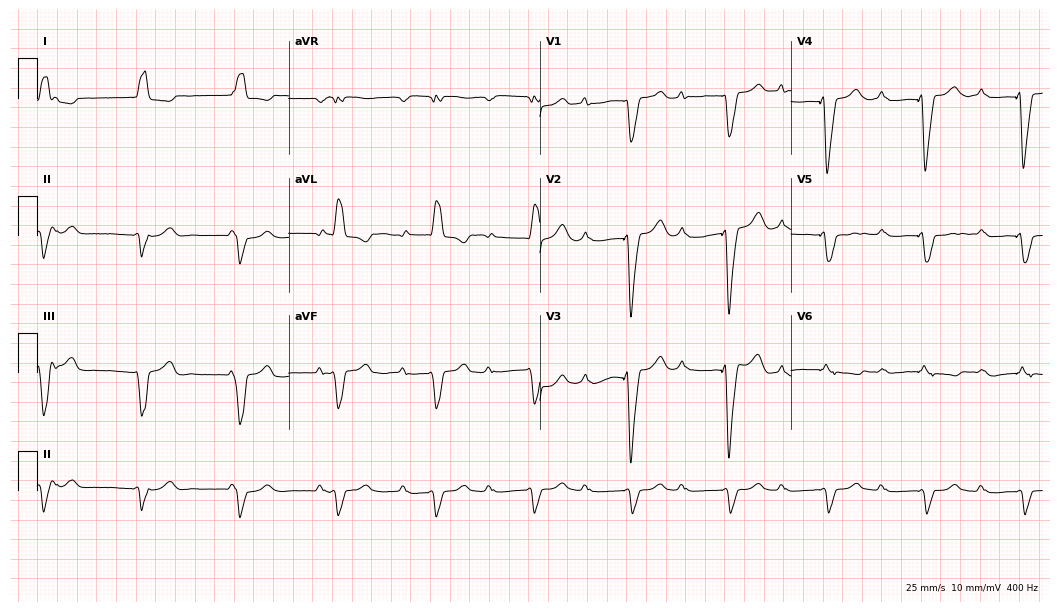
12-lead ECG (10.2-second recording at 400 Hz) from a 64-year-old woman. Screened for six findings — first-degree AV block, right bundle branch block, left bundle branch block, sinus bradycardia, atrial fibrillation, sinus tachycardia — none is recorded. Only these six findings were labelled.